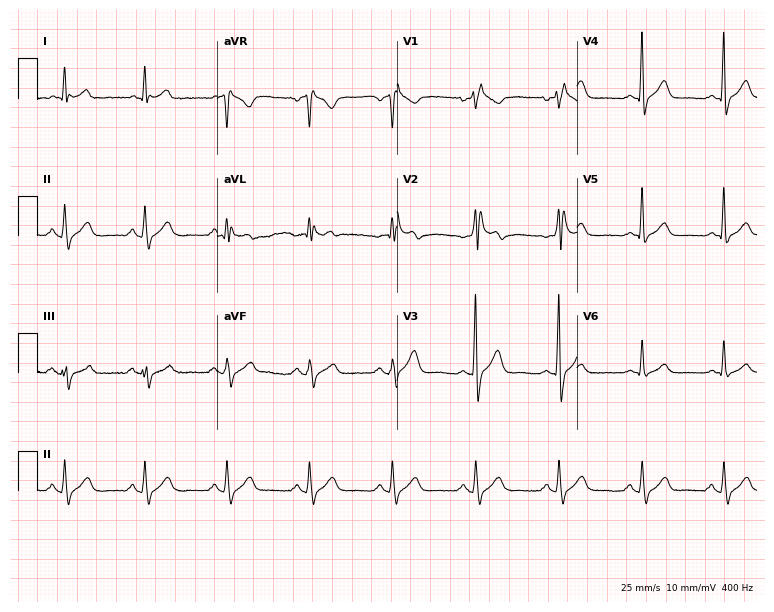
Electrocardiogram (7.3-second recording at 400 Hz), a male, 44 years old. Interpretation includes right bundle branch block.